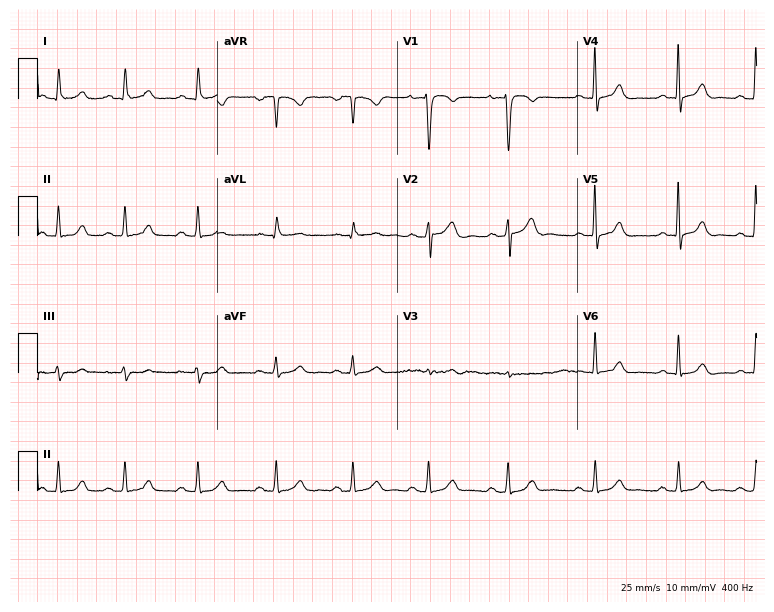
Standard 12-lead ECG recorded from a female, 30 years old (7.3-second recording at 400 Hz). Read as a normal ECG.